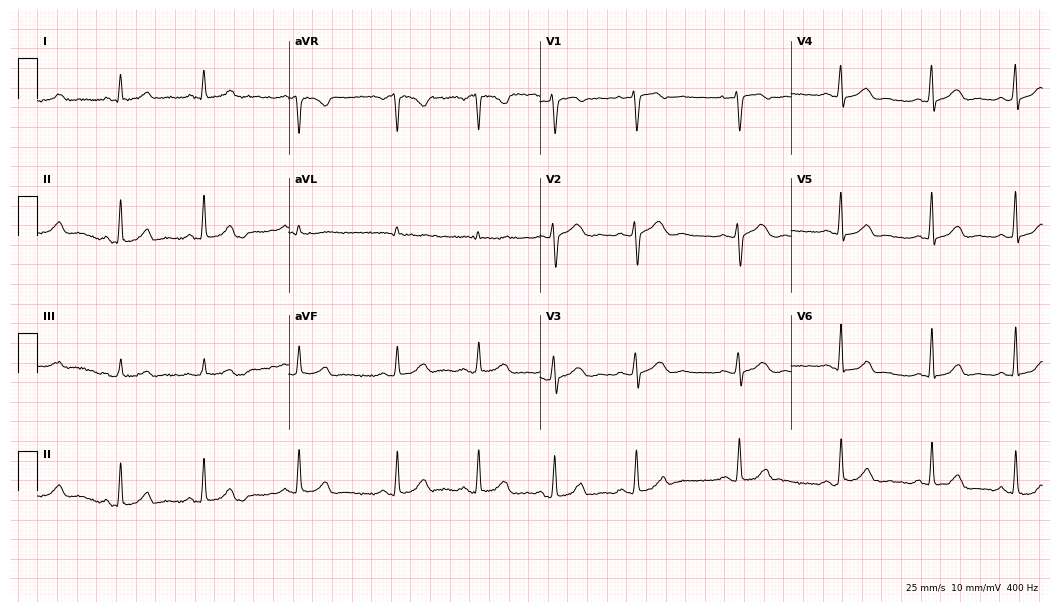
Resting 12-lead electrocardiogram. Patient: a 26-year-old female. Read as a normal ECG.